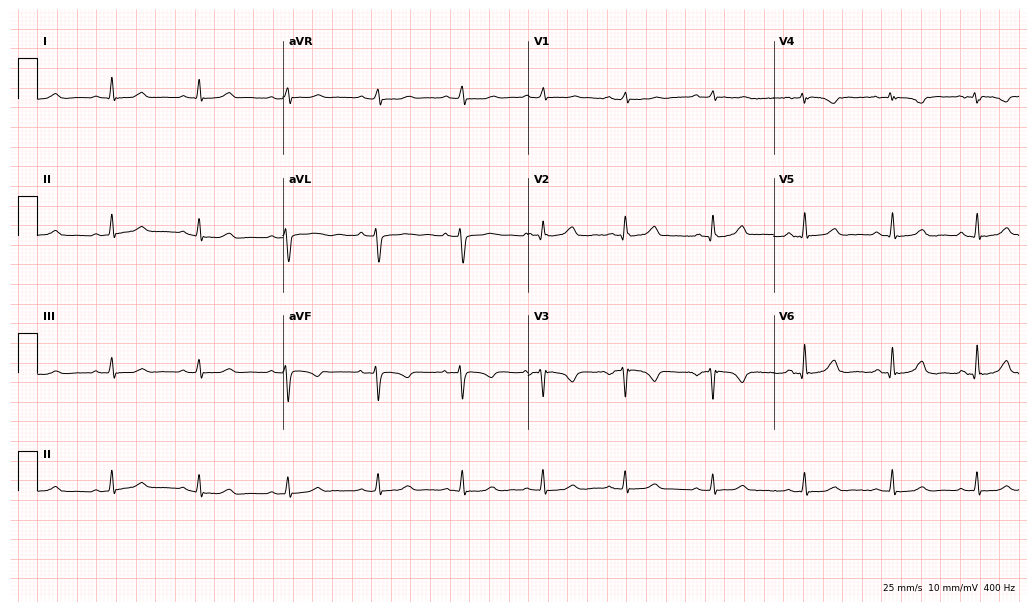
Standard 12-lead ECG recorded from a 49-year-old woman. None of these six findings is recorded: first-degree AV block, right bundle branch block, left bundle branch block, sinus bradycardia, atrial fibrillation, sinus tachycardia. Other findings, if any, are not listed.